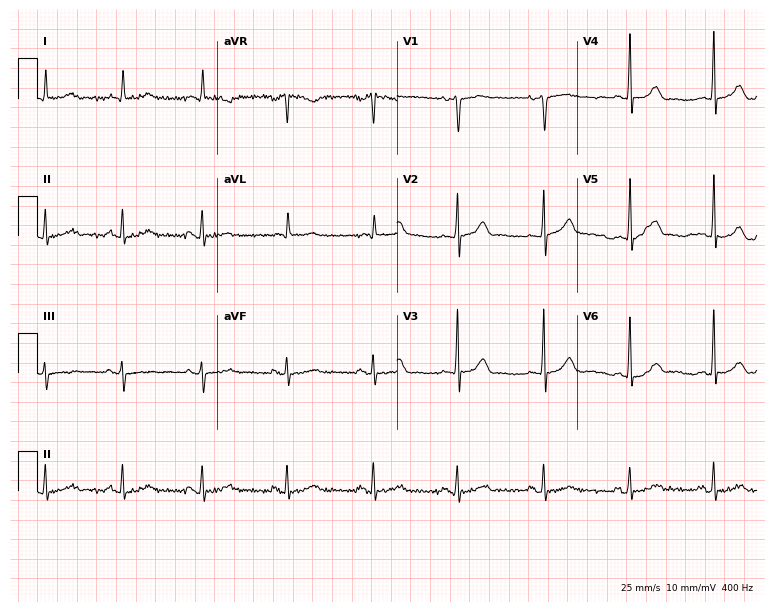
12-lead ECG from a man, 62 years old (7.3-second recording at 400 Hz). No first-degree AV block, right bundle branch block, left bundle branch block, sinus bradycardia, atrial fibrillation or sinus tachycardia recorded for this tracing. Other findings, if any, are not listed.